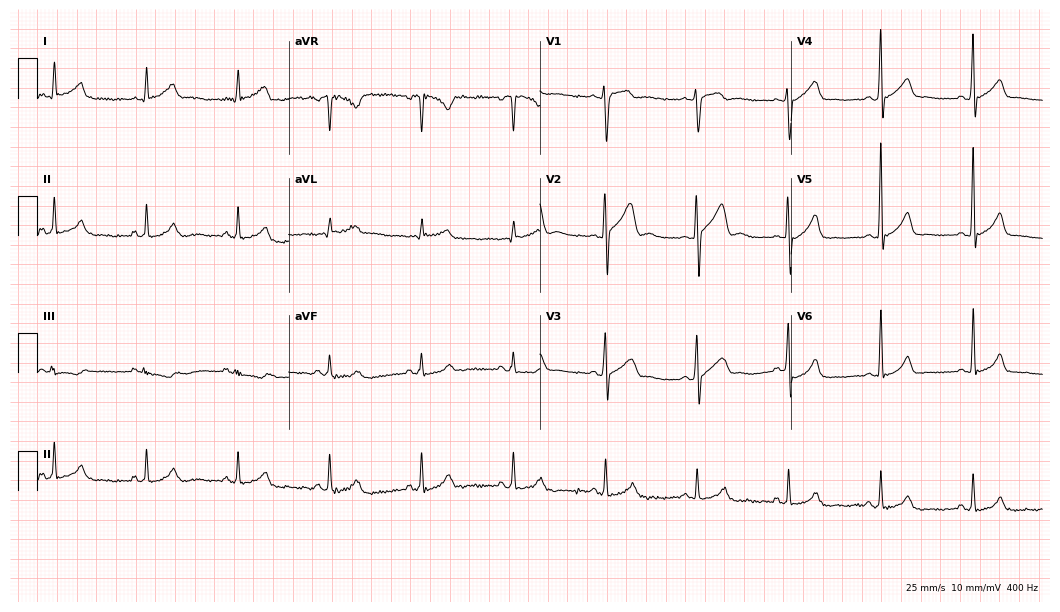
12-lead ECG (10.2-second recording at 400 Hz) from a man, 20 years old. Labelled as a normal ECG.